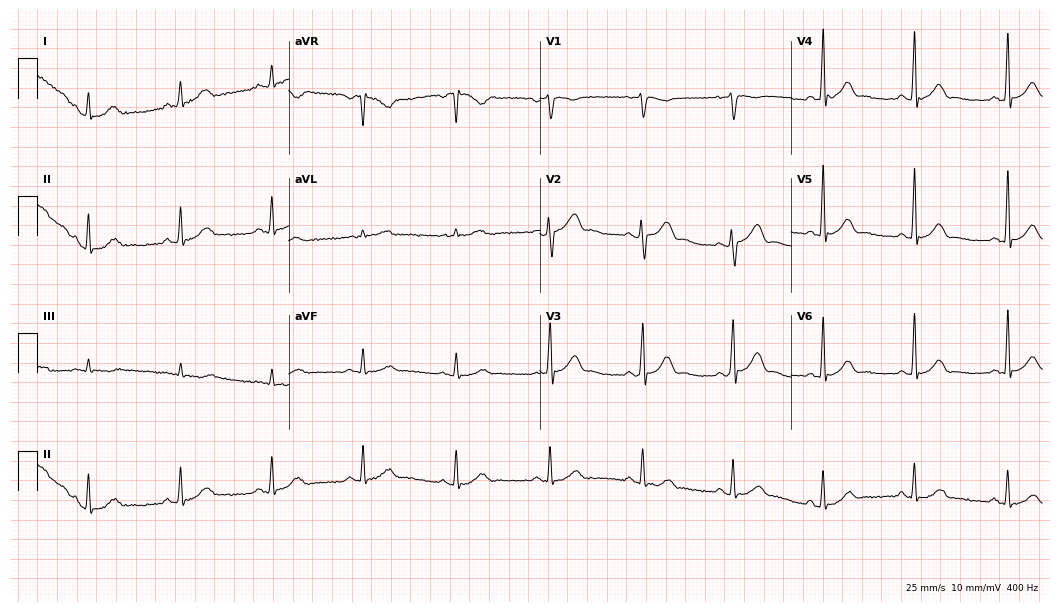
Electrocardiogram (10.2-second recording at 400 Hz), a male, 48 years old. Overall reading on record: normal ECG.